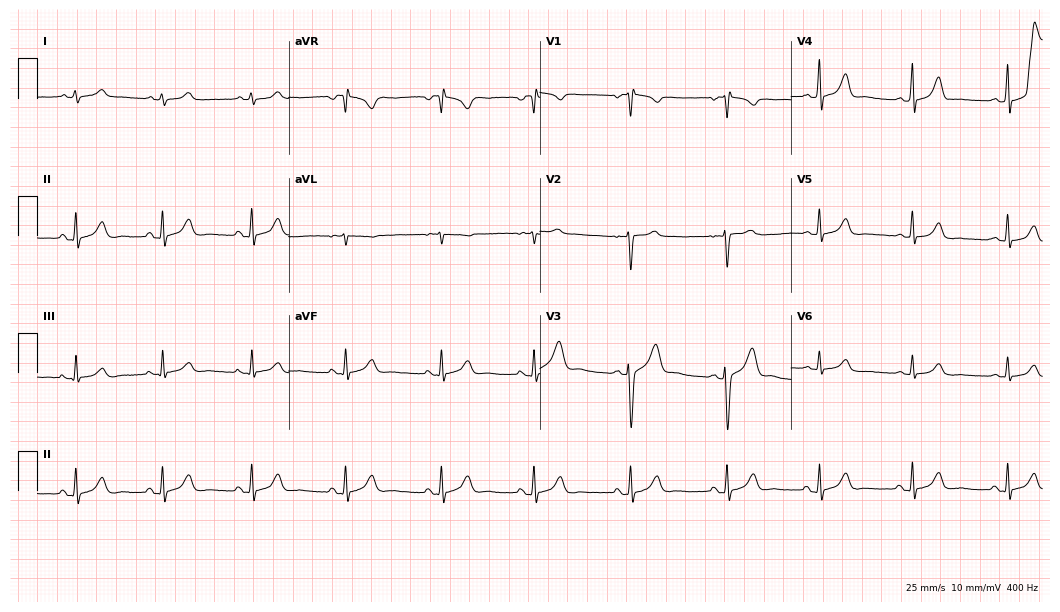
Electrocardiogram, a 38-year-old female patient. Overall reading on record: normal ECG.